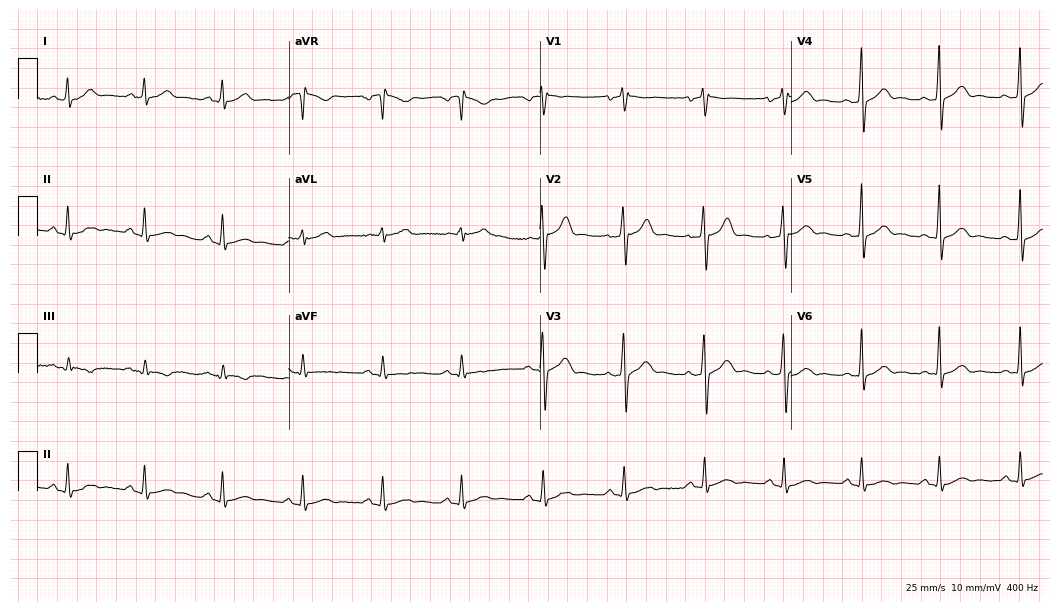
12-lead ECG (10.2-second recording at 400 Hz) from a man, 41 years old. Screened for six findings — first-degree AV block, right bundle branch block, left bundle branch block, sinus bradycardia, atrial fibrillation, sinus tachycardia — none is recorded. Findings outside these six are not listed.